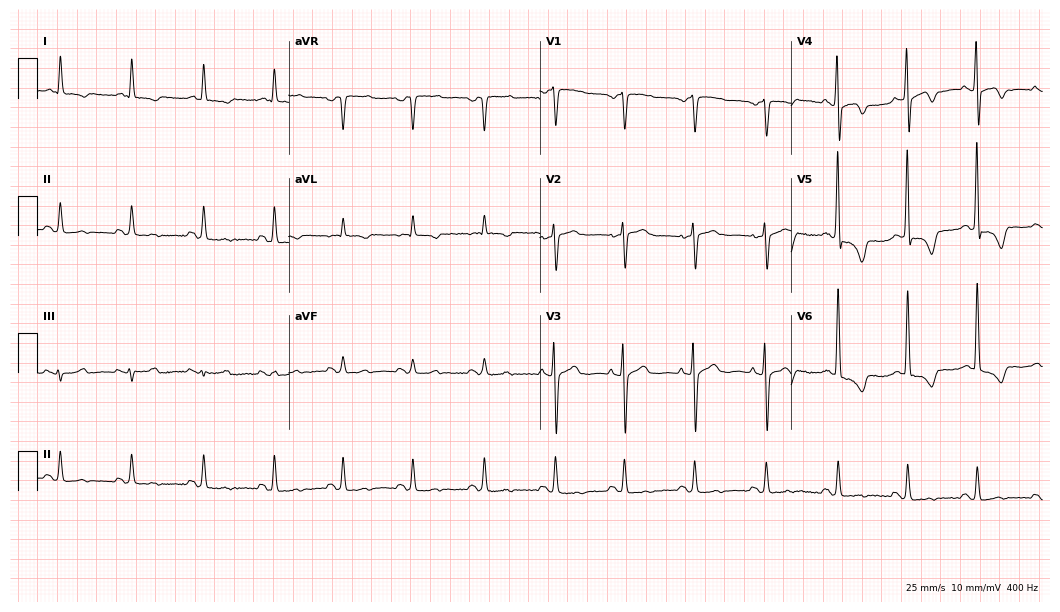
Standard 12-lead ECG recorded from a male, 78 years old. Read as a normal ECG.